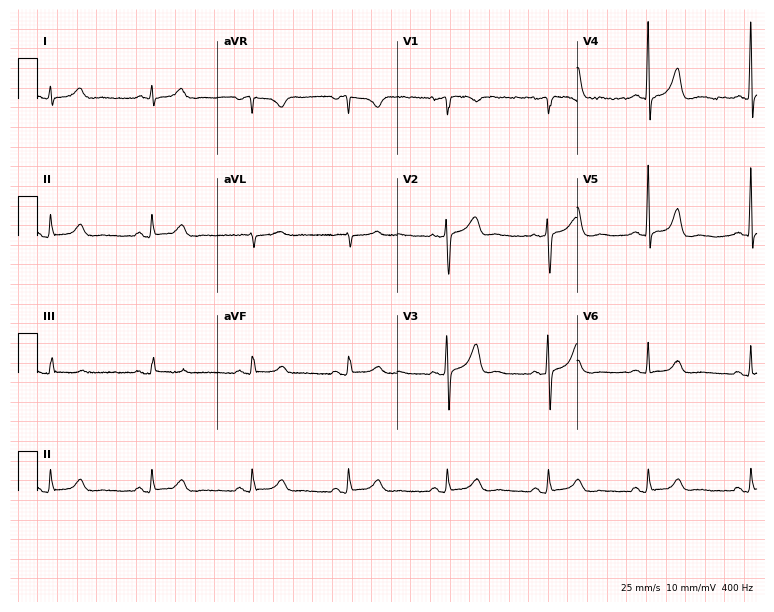
Electrocardiogram (7.3-second recording at 400 Hz), a 46-year-old woman. Of the six screened findings (first-degree AV block, right bundle branch block, left bundle branch block, sinus bradycardia, atrial fibrillation, sinus tachycardia), none is recorded. Findings outside these six are not listed.